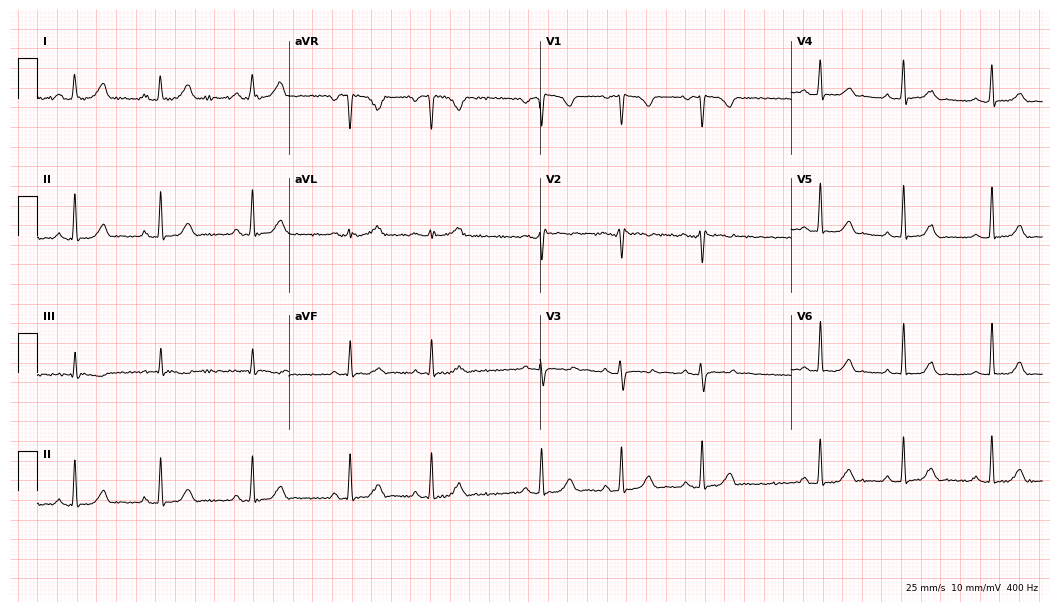
ECG — a woman, 23 years old. Labelled as a normal ECG.